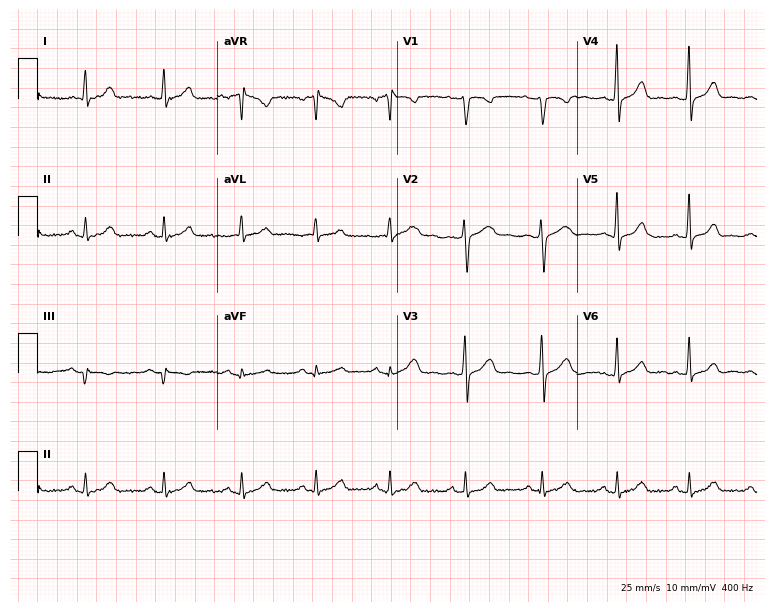
12-lead ECG (7.3-second recording at 400 Hz) from a female, 43 years old. Labelled as a normal ECG.